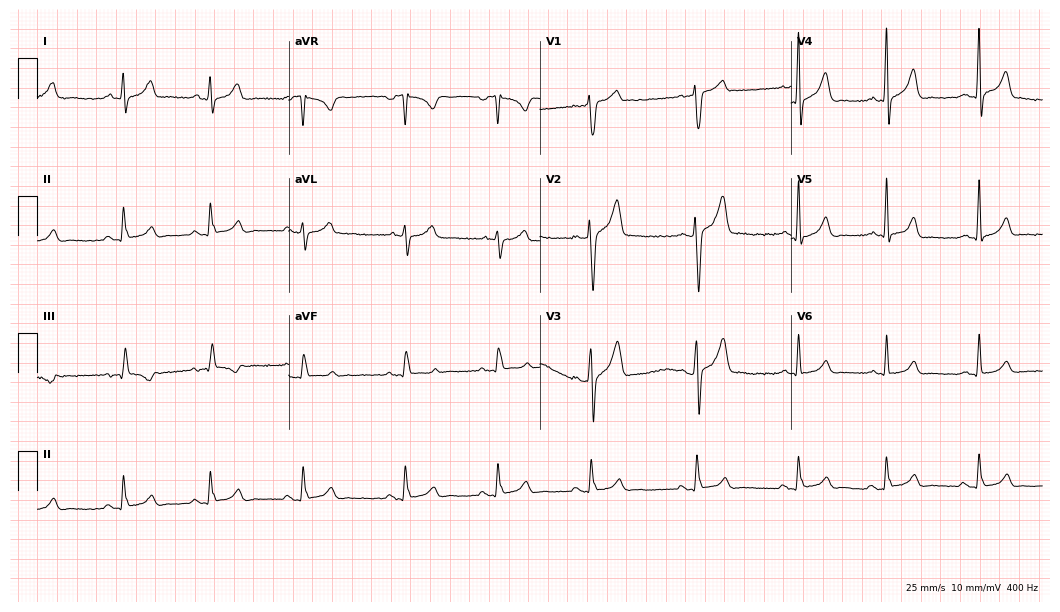
ECG — a man, 24 years old. Screened for six findings — first-degree AV block, right bundle branch block, left bundle branch block, sinus bradycardia, atrial fibrillation, sinus tachycardia — none is recorded. Other findings, if any, are not listed.